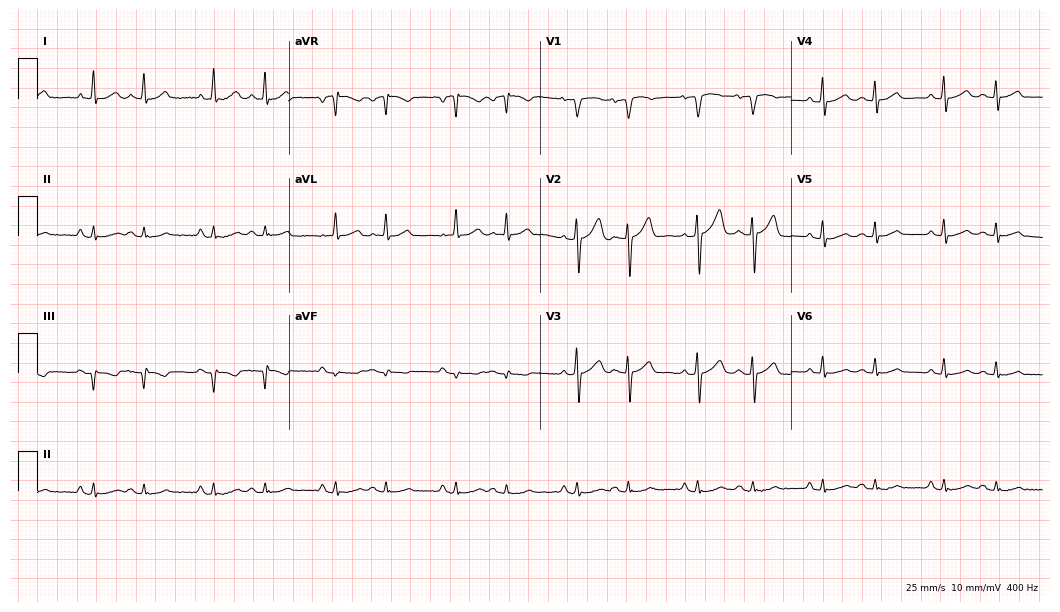
12-lead ECG (10.2-second recording at 400 Hz) from a female patient, 74 years old. Screened for six findings — first-degree AV block, right bundle branch block, left bundle branch block, sinus bradycardia, atrial fibrillation, sinus tachycardia — none is recorded.